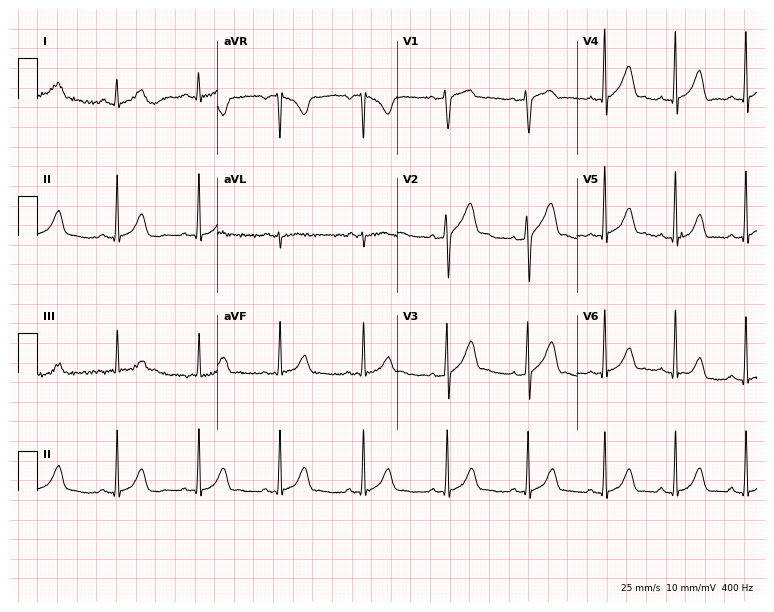
Standard 12-lead ECG recorded from a 39-year-old man (7.3-second recording at 400 Hz). Read as a normal ECG.